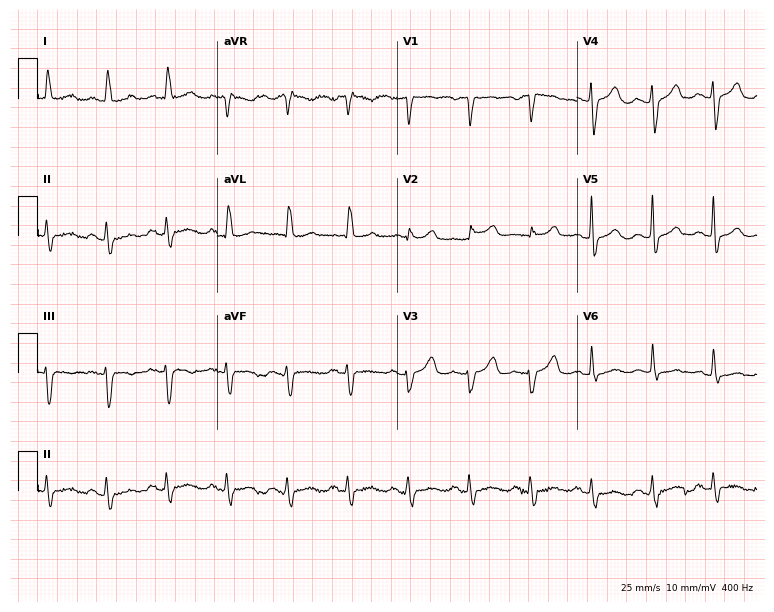
ECG — an 80-year-old woman. Screened for six findings — first-degree AV block, right bundle branch block, left bundle branch block, sinus bradycardia, atrial fibrillation, sinus tachycardia — none is recorded. Other findings, if any, are not listed.